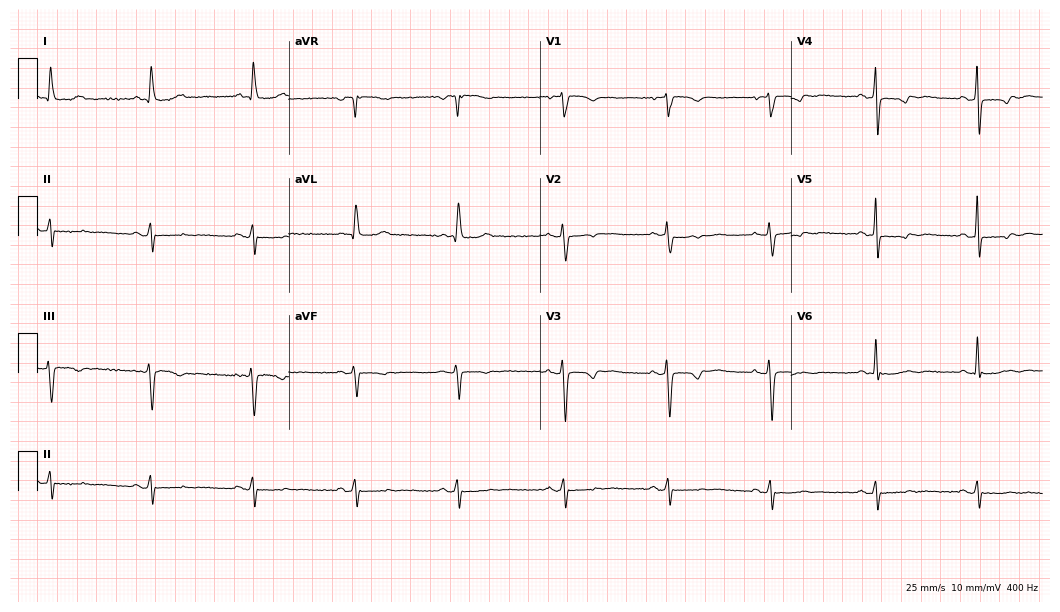
Resting 12-lead electrocardiogram. Patient: a female, 77 years old. None of these six findings is recorded: first-degree AV block, right bundle branch block, left bundle branch block, sinus bradycardia, atrial fibrillation, sinus tachycardia. Only these six findings were labelled.